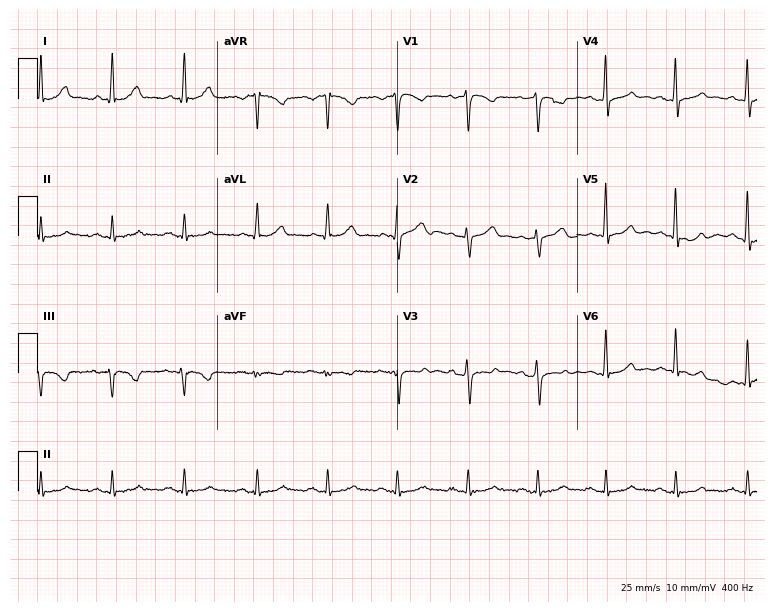
Electrocardiogram (7.3-second recording at 400 Hz), a 44-year-old male patient. Of the six screened findings (first-degree AV block, right bundle branch block (RBBB), left bundle branch block (LBBB), sinus bradycardia, atrial fibrillation (AF), sinus tachycardia), none is recorded. Findings outside these six are not listed.